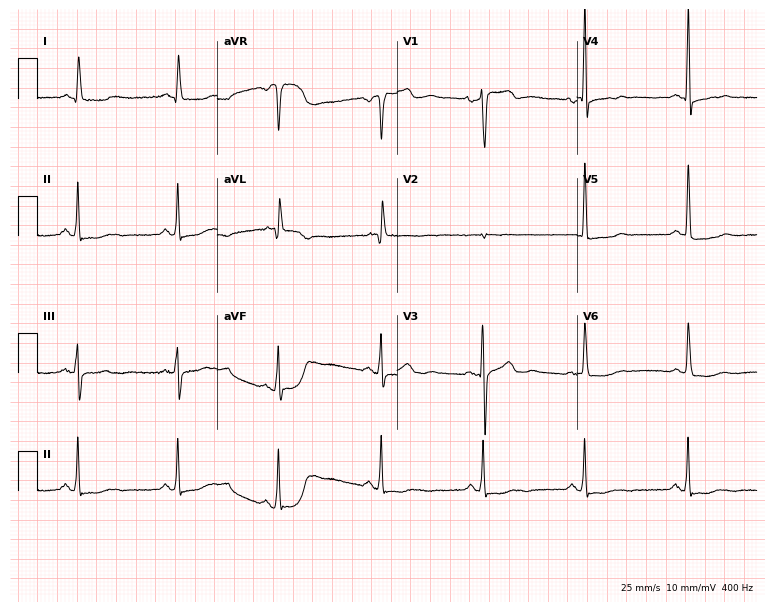
ECG — a male patient, 74 years old. Screened for six findings — first-degree AV block, right bundle branch block, left bundle branch block, sinus bradycardia, atrial fibrillation, sinus tachycardia — none is recorded.